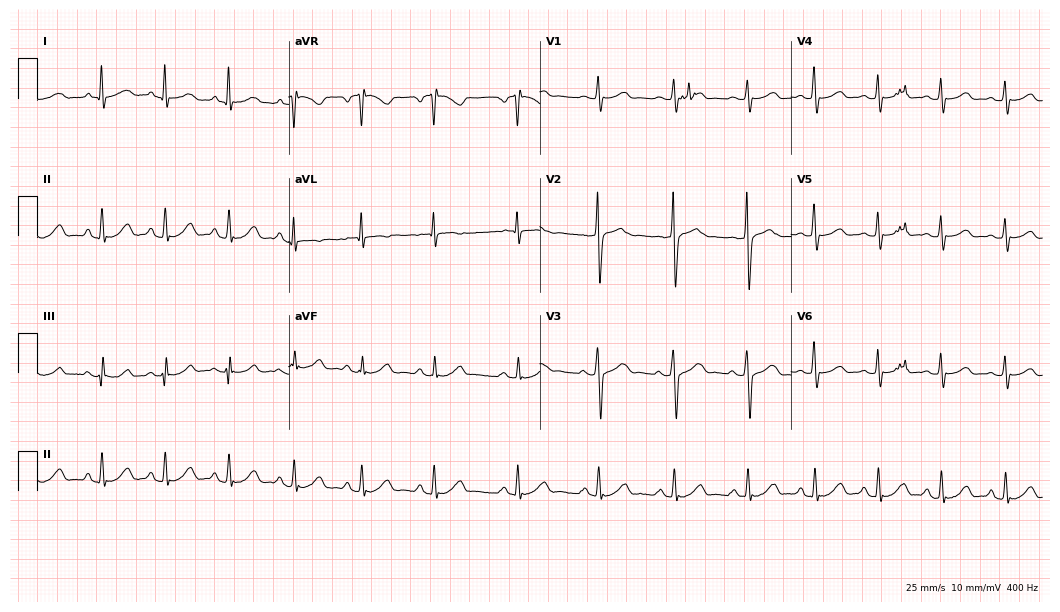
12-lead ECG from a male, 53 years old (10.2-second recording at 400 Hz). Recorded interpretation: within normal limits.